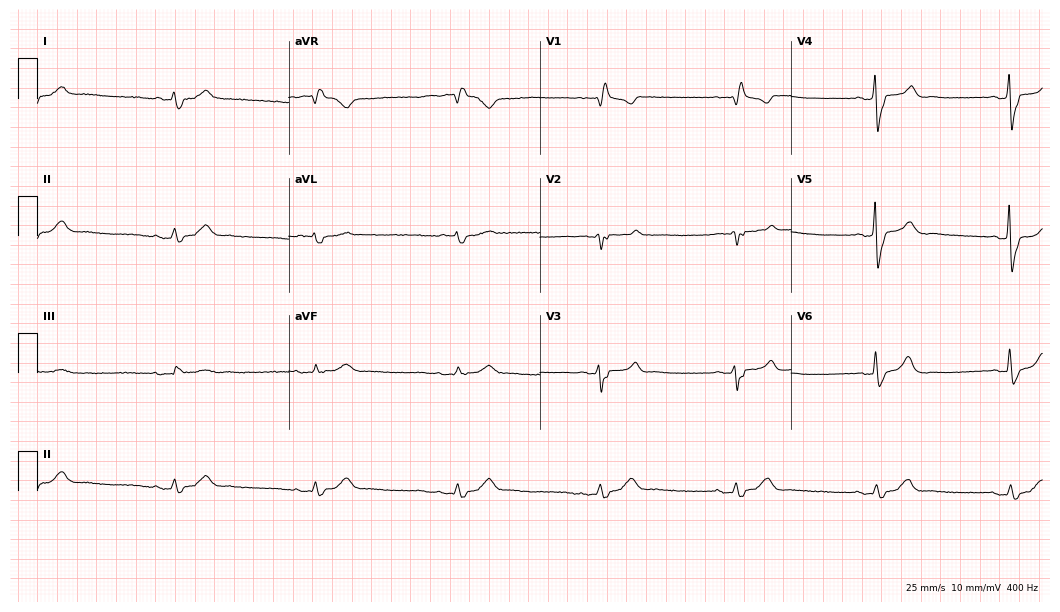
12-lead ECG from a 58-year-old male patient. Findings include right bundle branch block, sinus bradycardia (a sinus rate of 50 beats per minute or less).